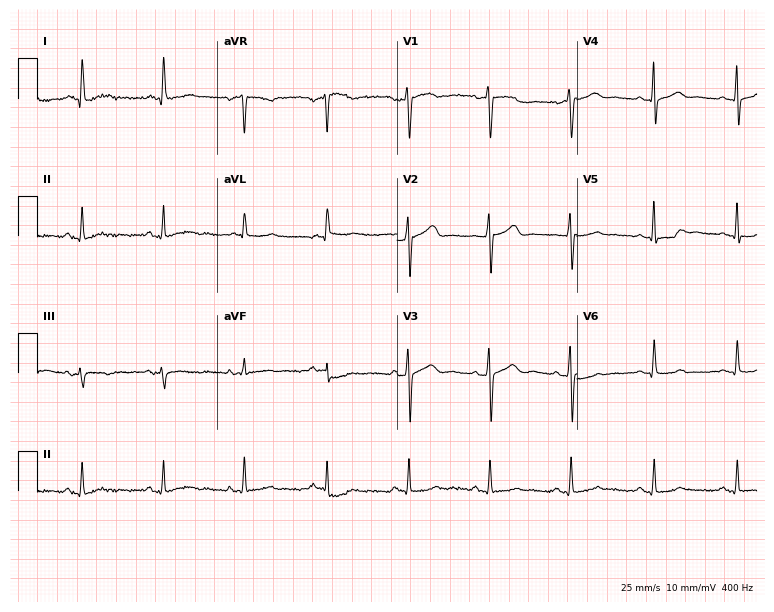
Electrocardiogram, a woman, 49 years old. Of the six screened findings (first-degree AV block, right bundle branch block (RBBB), left bundle branch block (LBBB), sinus bradycardia, atrial fibrillation (AF), sinus tachycardia), none is recorded.